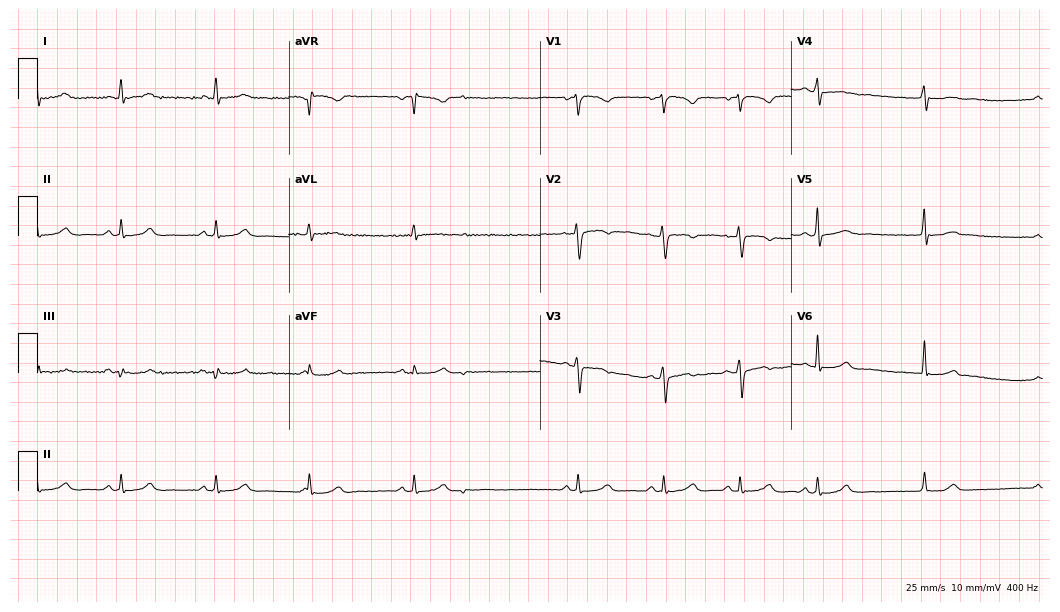
12-lead ECG from a woman, 24 years old (10.2-second recording at 400 Hz). No first-degree AV block, right bundle branch block (RBBB), left bundle branch block (LBBB), sinus bradycardia, atrial fibrillation (AF) or sinus tachycardia recorded for this tracing. Other findings, if any, are not listed.